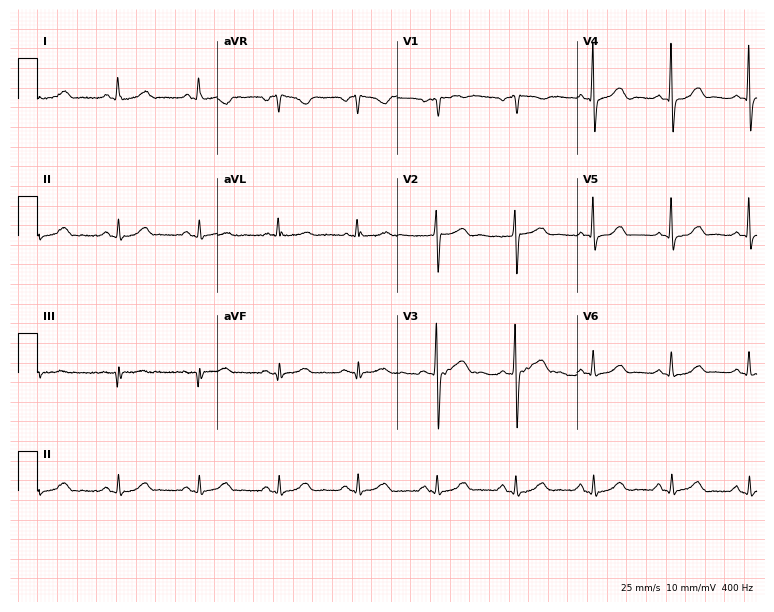
Electrocardiogram (7.3-second recording at 400 Hz), a woman, 69 years old. Overall reading on record: normal ECG.